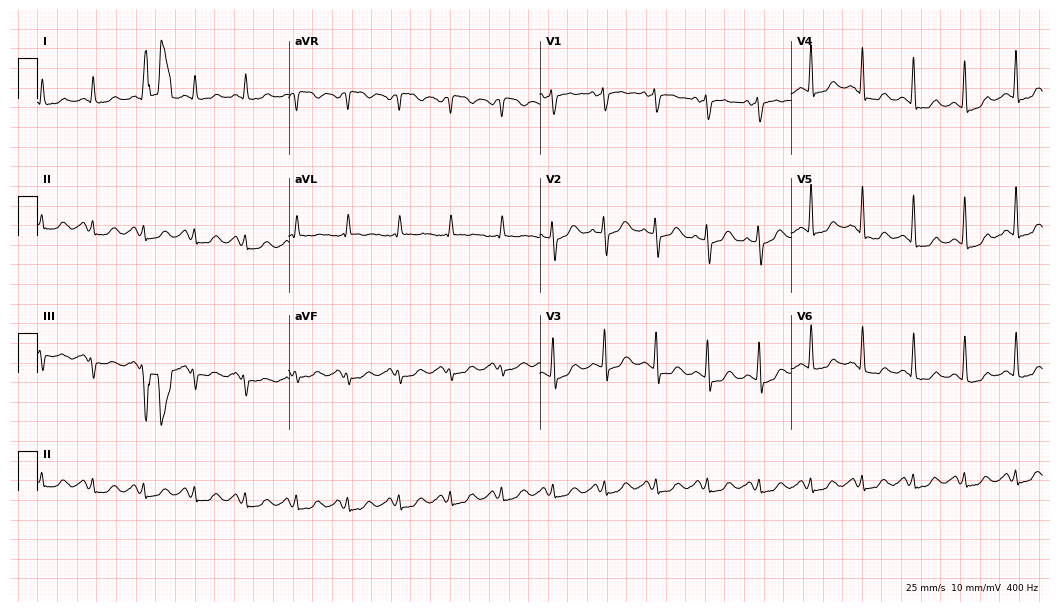
Standard 12-lead ECG recorded from a 71-year-old female (10.2-second recording at 400 Hz). None of these six findings is recorded: first-degree AV block, right bundle branch block (RBBB), left bundle branch block (LBBB), sinus bradycardia, atrial fibrillation (AF), sinus tachycardia.